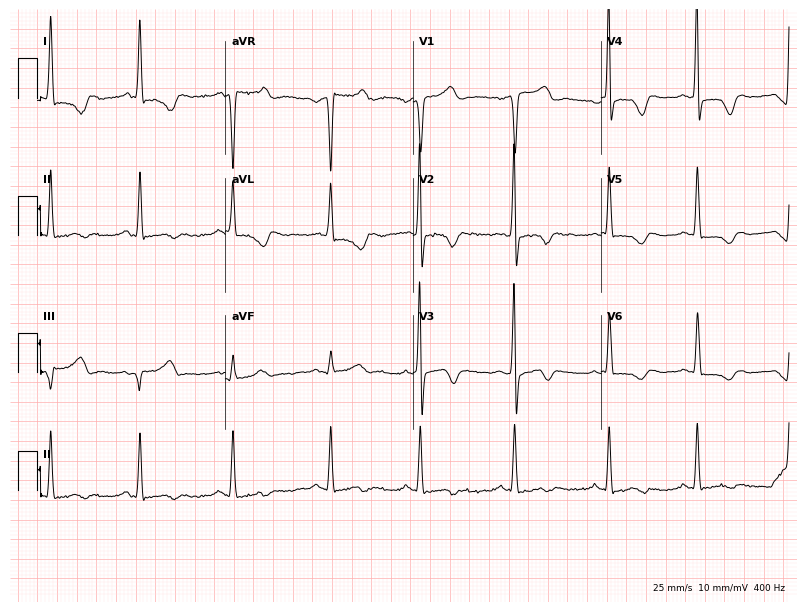
Resting 12-lead electrocardiogram. Patient: a 48-year-old female. None of these six findings is recorded: first-degree AV block, right bundle branch block, left bundle branch block, sinus bradycardia, atrial fibrillation, sinus tachycardia.